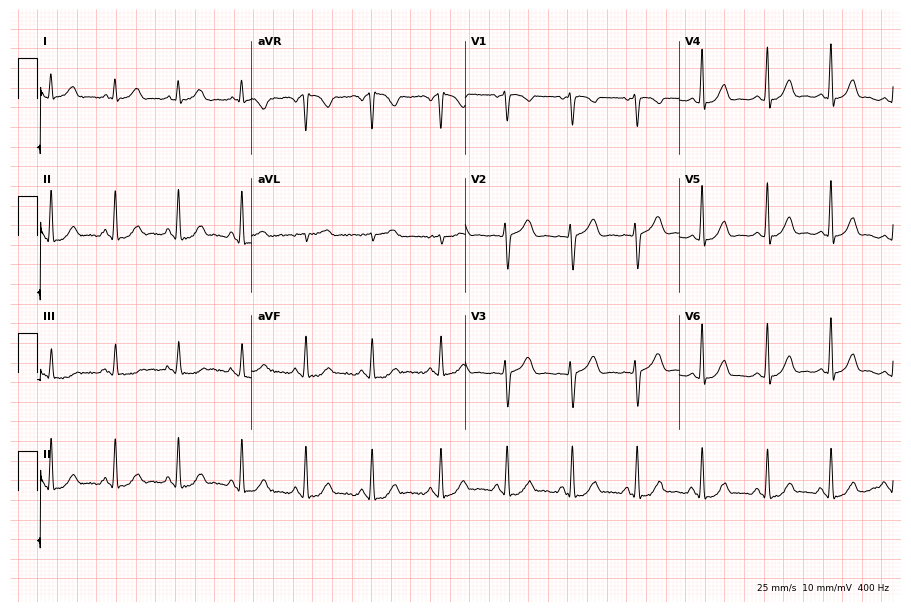
Resting 12-lead electrocardiogram (8.7-second recording at 400 Hz). Patient: a 42-year-old woman. Read as a normal ECG.